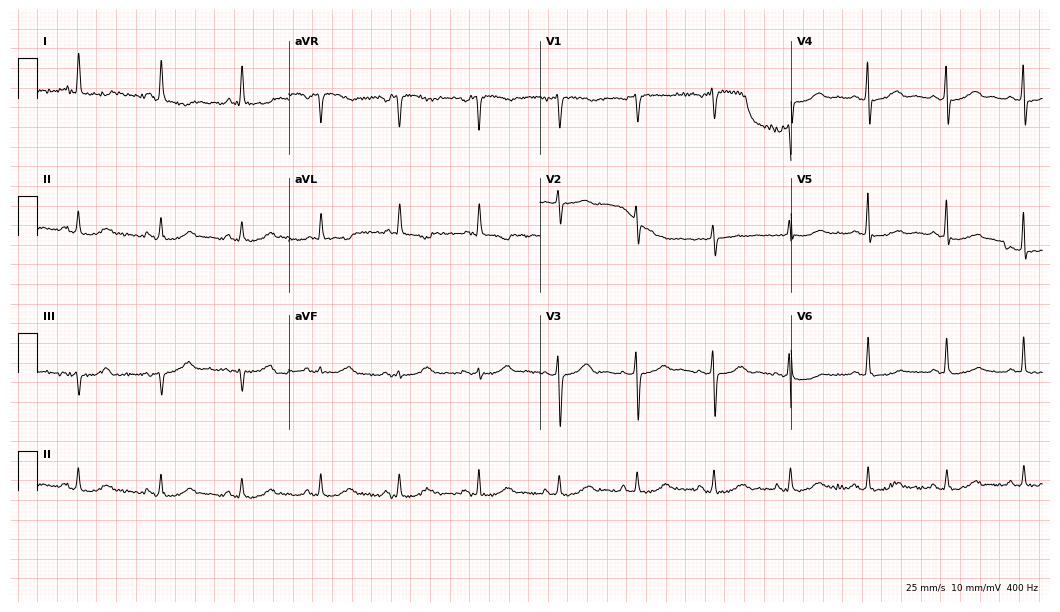
12-lead ECG from a female, 70 years old. No first-degree AV block, right bundle branch block, left bundle branch block, sinus bradycardia, atrial fibrillation or sinus tachycardia recorded for this tracing.